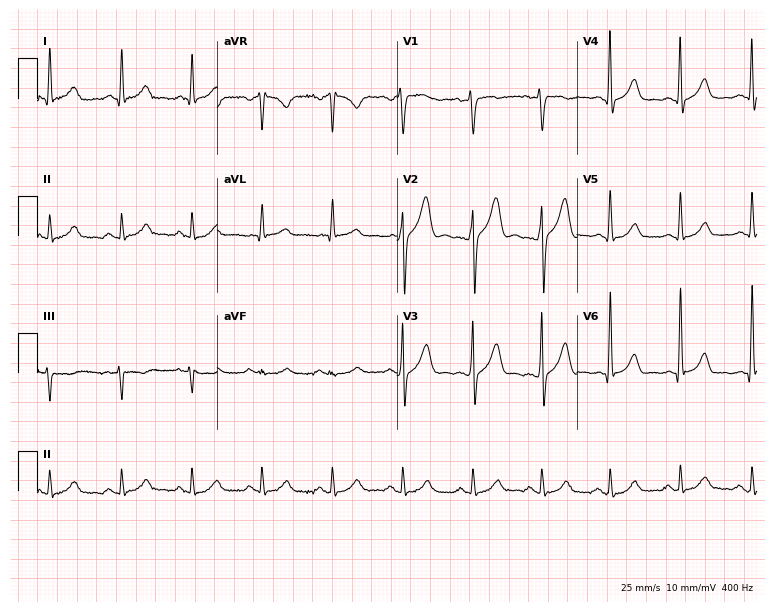
Resting 12-lead electrocardiogram. Patient: a 43-year-old male. Read as a normal ECG.